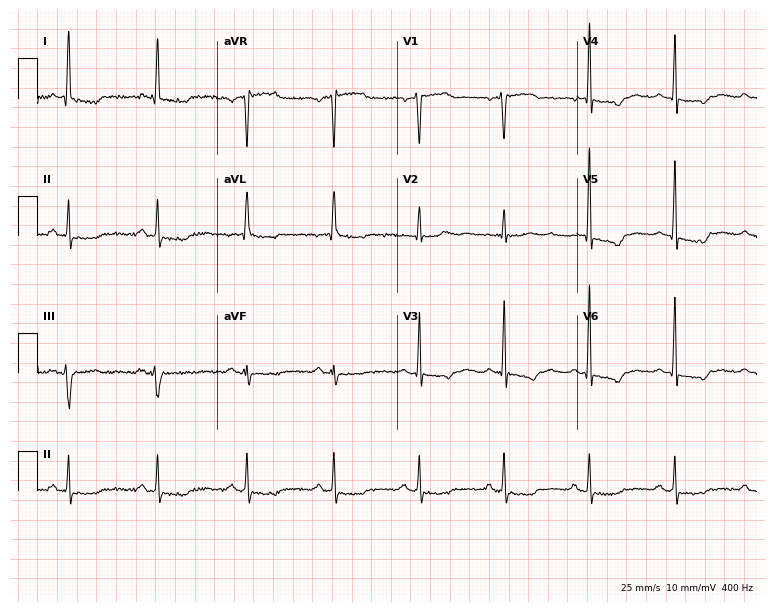
Standard 12-lead ECG recorded from a 75-year-old woman. None of these six findings is recorded: first-degree AV block, right bundle branch block (RBBB), left bundle branch block (LBBB), sinus bradycardia, atrial fibrillation (AF), sinus tachycardia. Only these six findings were labelled.